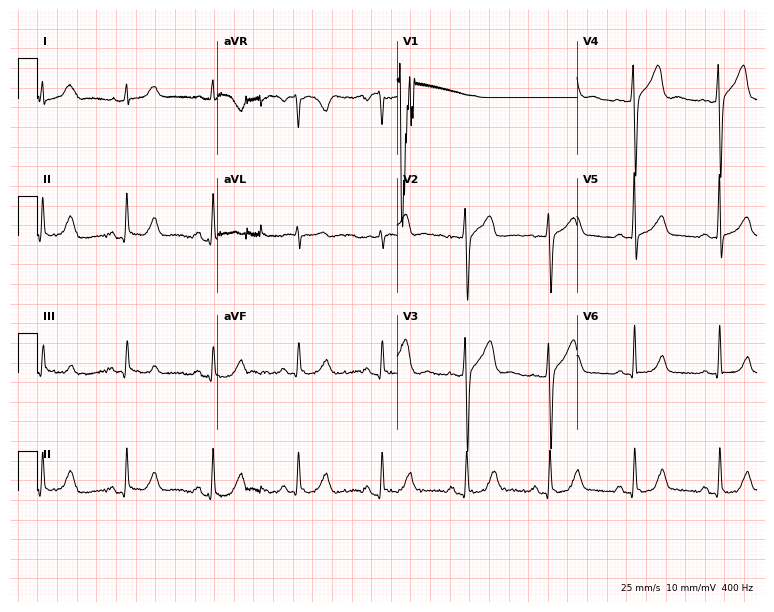
Resting 12-lead electrocardiogram (7.3-second recording at 400 Hz). Patient: a man, 28 years old. None of these six findings is recorded: first-degree AV block, right bundle branch block, left bundle branch block, sinus bradycardia, atrial fibrillation, sinus tachycardia. Other findings, if any, are not listed.